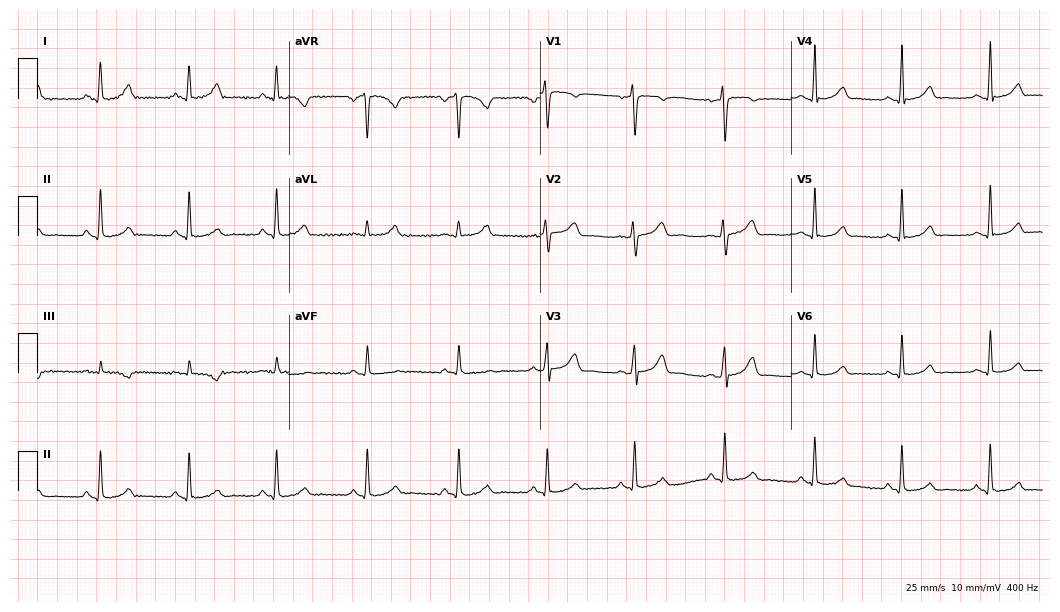
Standard 12-lead ECG recorded from a female, 27 years old (10.2-second recording at 400 Hz). None of these six findings is recorded: first-degree AV block, right bundle branch block (RBBB), left bundle branch block (LBBB), sinus bradycardia, atrial fibrillation (AF), sinus tachycardia. Only these six findings were labelled.